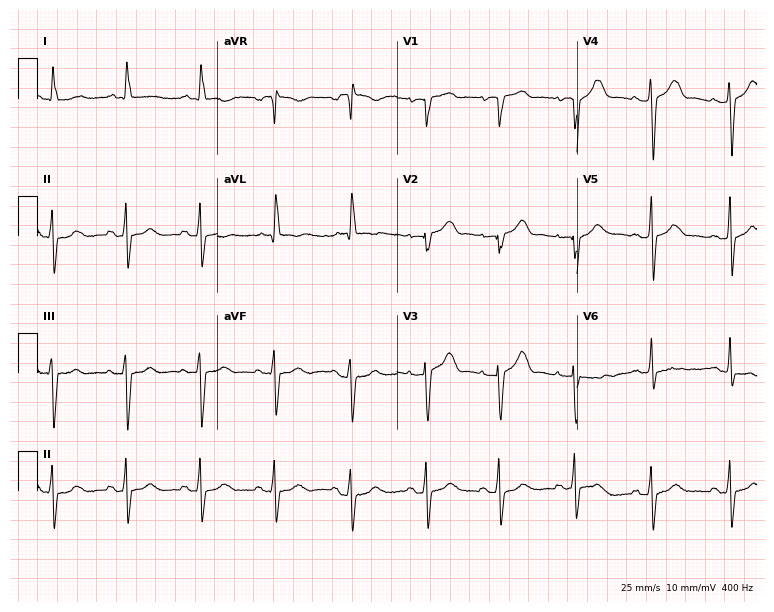
12-lead ECG from a woman, 83 years old (7.3-second recording at 400 Hz). Recorded interpretation: within normal limits.